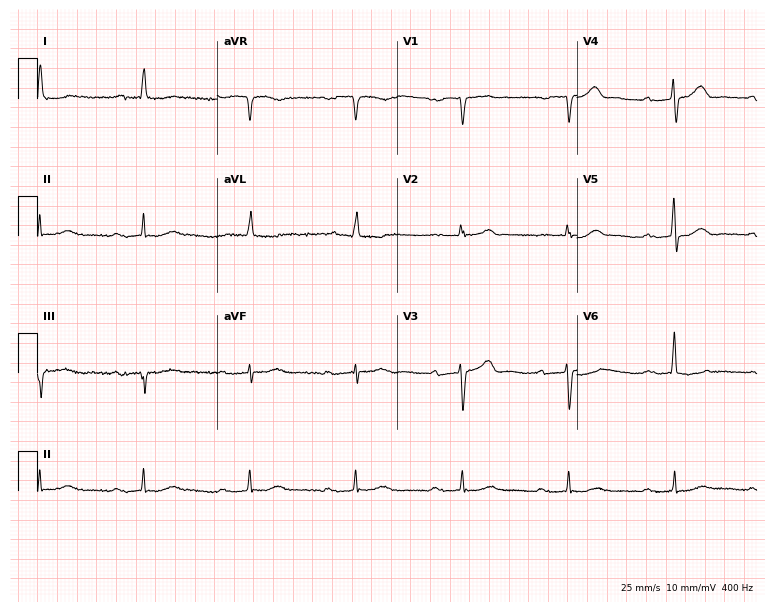
Electrocardiogram (7.3-second recording at 400 Hz), a 79-year-old male. Interpretation includes first-degree AV block.